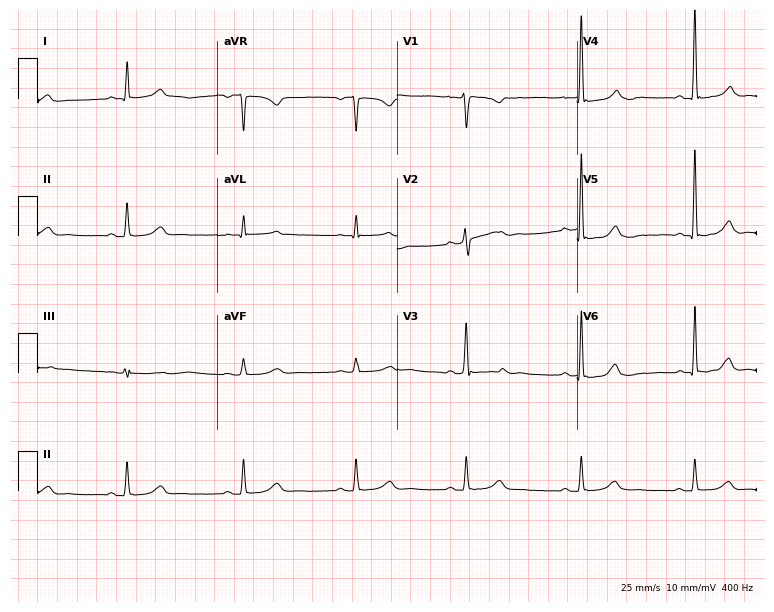
Resting 12-lead electrocardiogram. Patient: a 46-year-old woman. None of these six findings is recorded: first-degree AV block, right bundle branch block, left bundle branch block, sinus bradycardia, atrial fibrillation, sinus tachycardia.